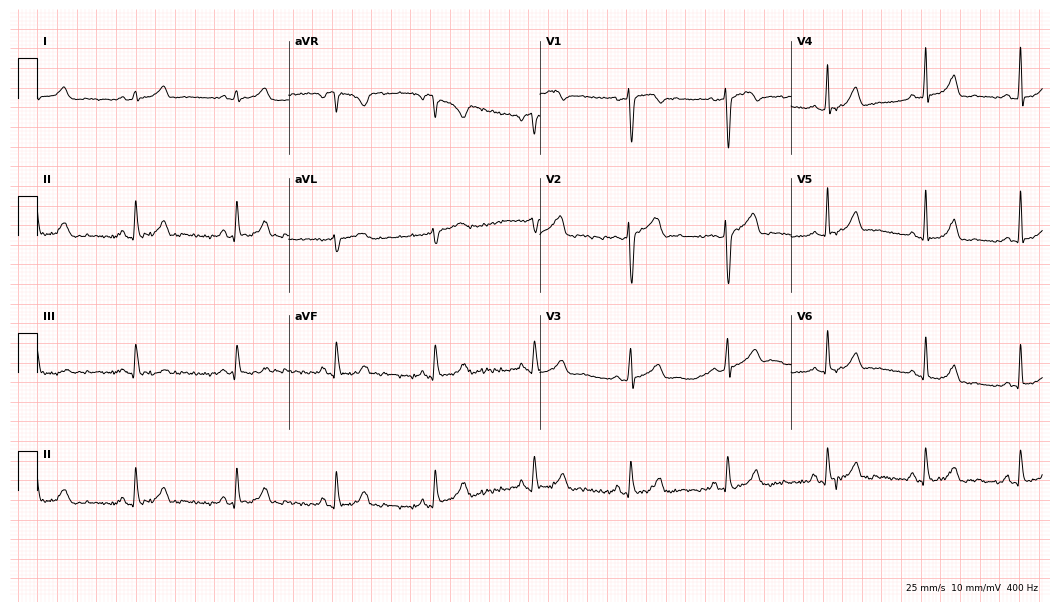
12-lead ECG from a female patient, 27 years old (10.2-second recording at 400 Hz). Recorded interpretation: within normal limits.